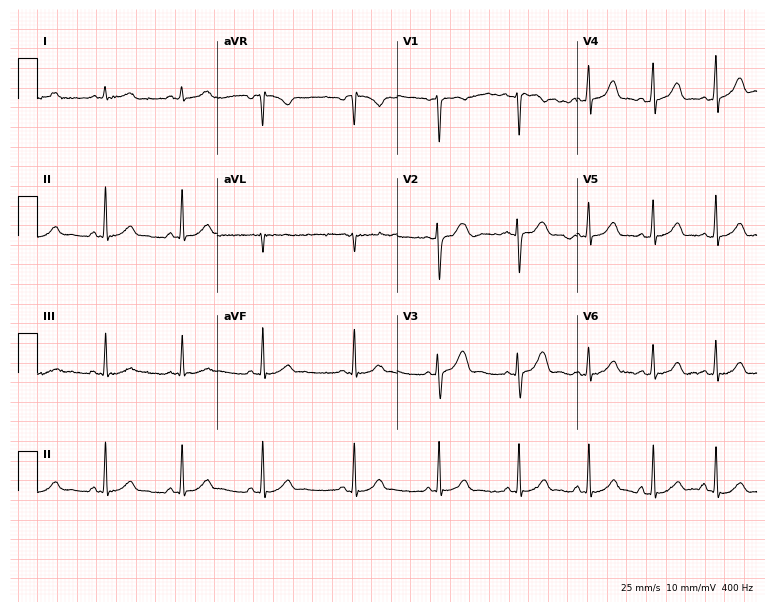
ECG (7.3-second recording at 400 Hz) — a female, 24 years old. Labelled as a normal ECG.